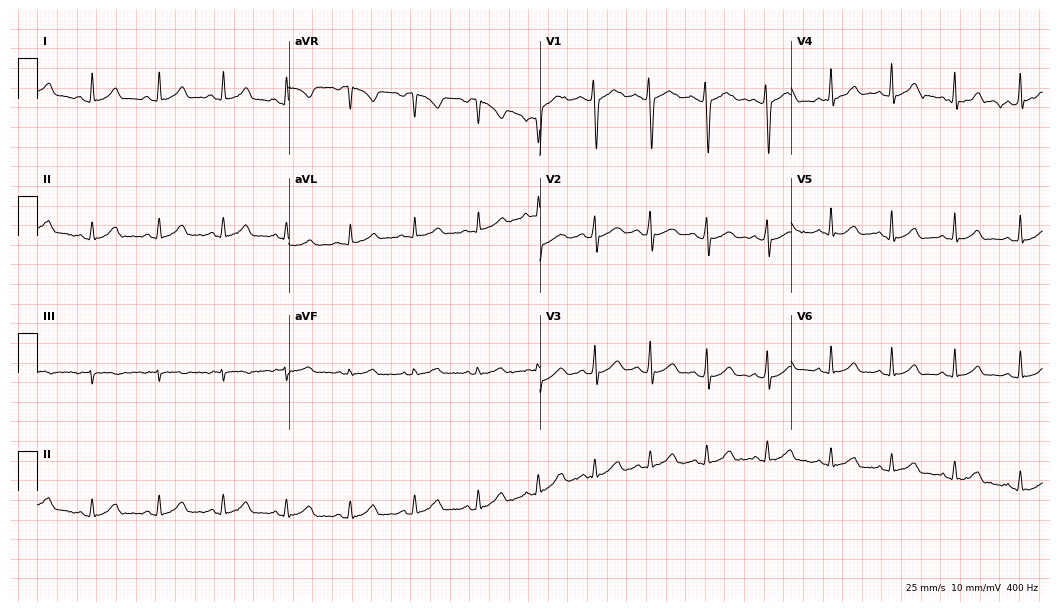
ECG (10.2-second recording at 400 Hz) — a 20-year-old woman. Labelled as a normal ECG.